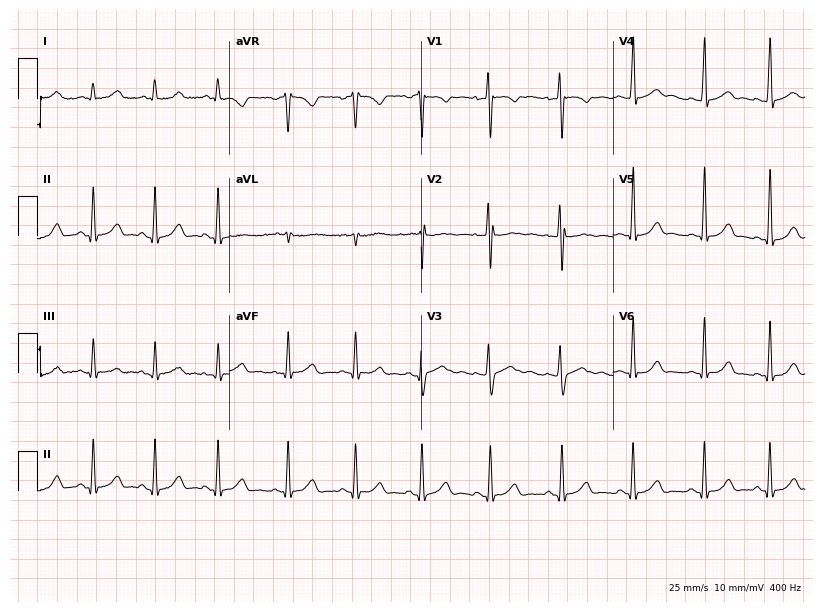
Electrocardiogram, a female, 20 years old. Overall reading on record: normal ECG.